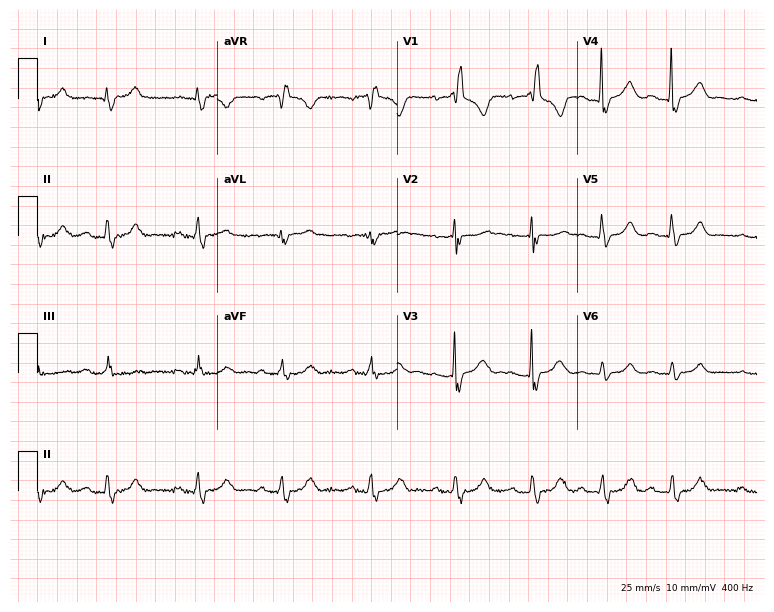
Electrocardiogram (7.3-second recording at 400 Hz), a female, 62 years old. Interpretation includes first-degree AV block, right bundle branch block (RBBB).